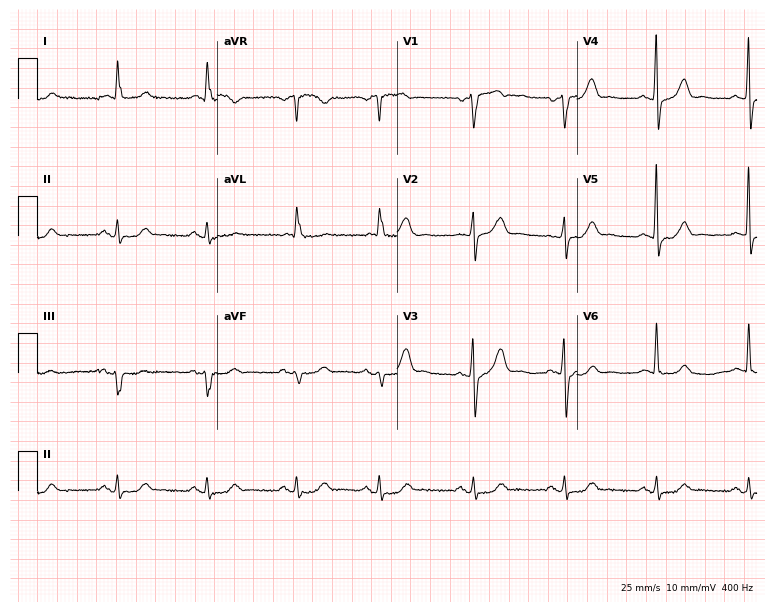
ECG — a male, 81 years old. Labelled as a normal ECG.